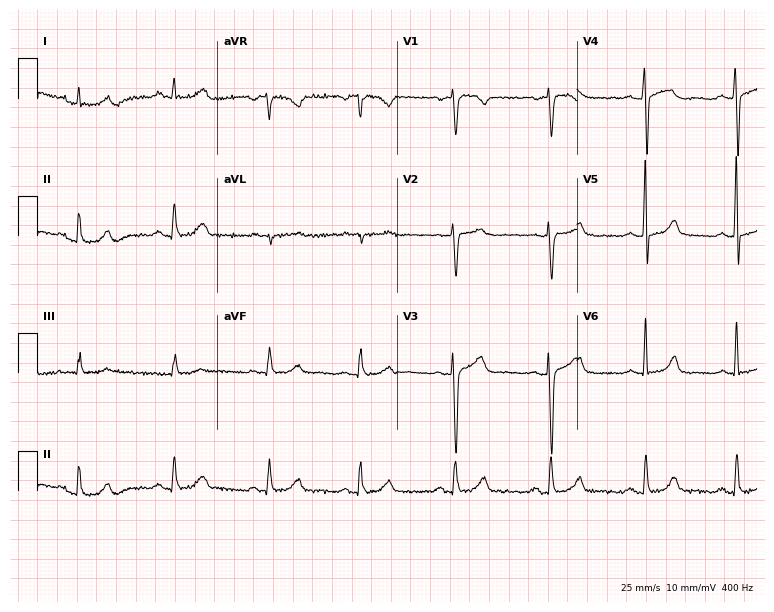
12-lead ECG from a female patient, 44 years old. Screened for six findings — first-degree AV block, right bundle branch block, left bundle branch block, sinus bradycardia, atrial fibrillation, sinus tachycardia — none is recorded. Other findings, if any, are not listed.